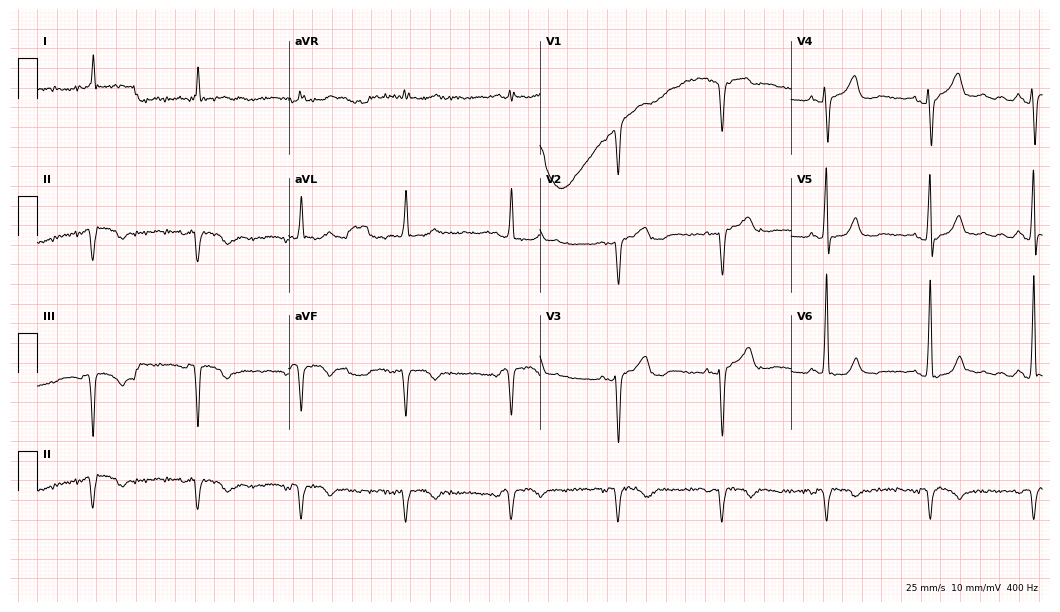
Electrocardiogram, a female, 81 years old. Of the six screened findings (first-degree AV block, right bundle branch block, left bundle branch block, sinus bradycardia, atrial fibrillation, sinus tachycardia), none is recorded.